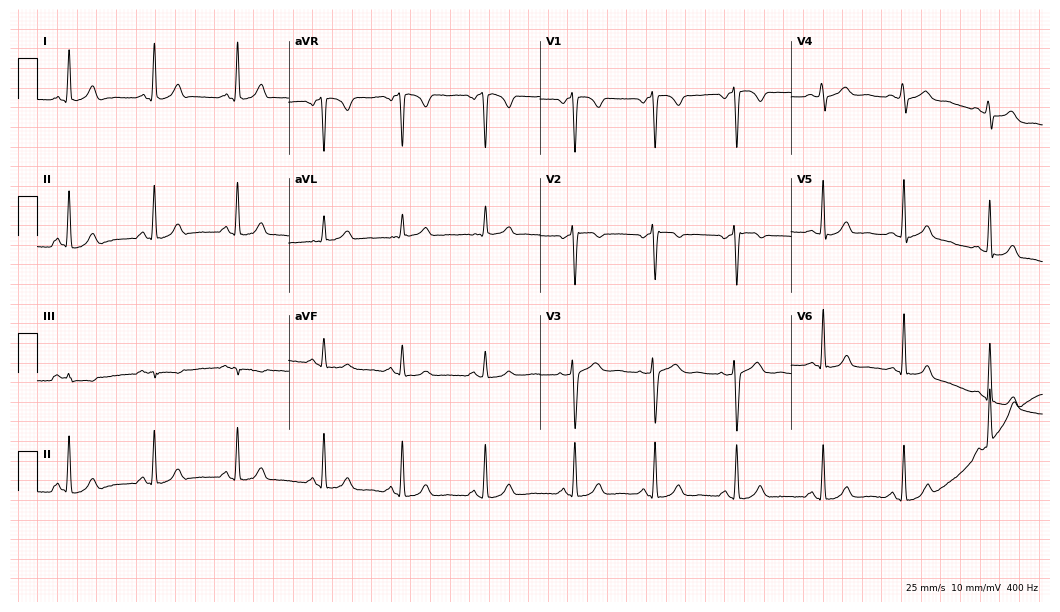
Electrocardiogram (10.2-second recording at 400 Hz), a woman, 28 years old. Overall reading on record: normal ECG.